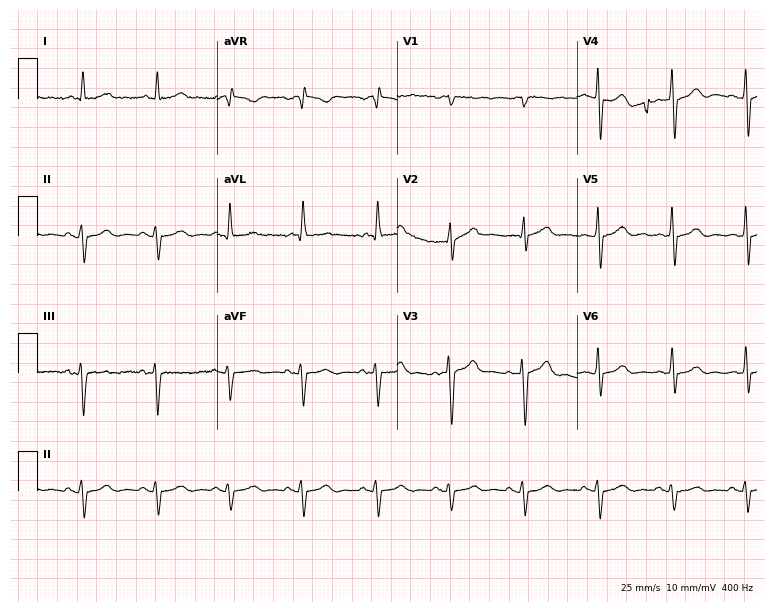
Resting 12-lead electrocardiogram (7.3-second recording at 400 Hz). Patient: a 77-year-old man. None of these six findings is recorded: first-degree AV block, right bundle branch block, left bundle branch block, sinus bradycardia, atrial fibrillation, sinus tachycardia. Other findings, if any, are not listed.